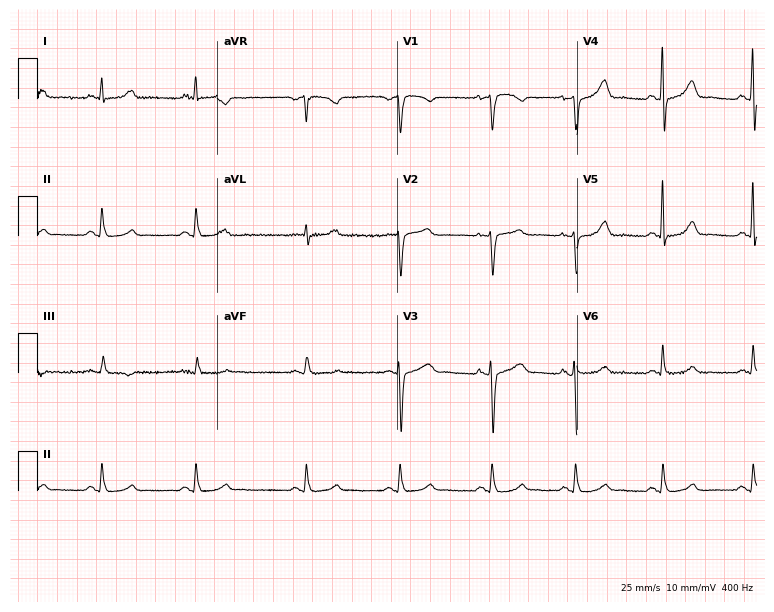
Resting 12-lead electrocardiogram. Patient: a female, 55 years old. Read as a normal ECG.